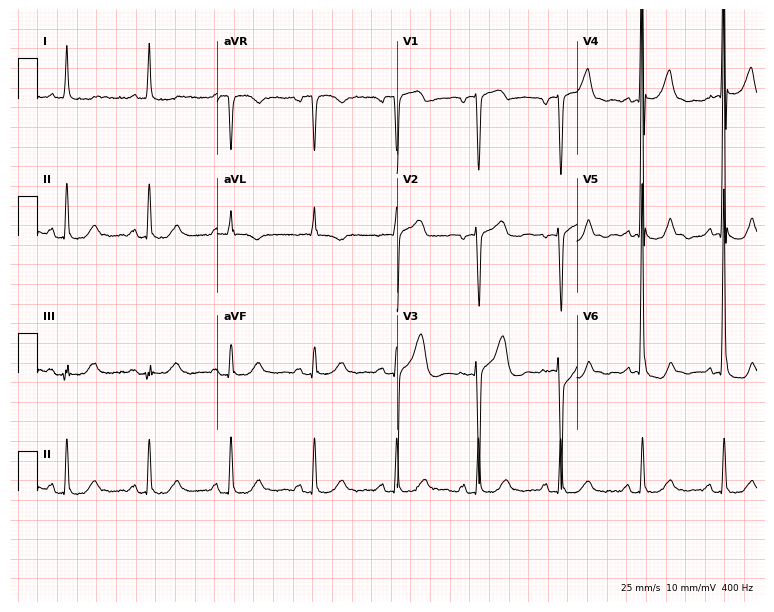
ECG — a male, 78 years old. Screened for six findings — first-degree AV block, right bundle branch block (RBBB), left bundle branch block (LBBB), sinus bradycardia, atrial fibrillation (AF), sinus tachycardia — none is recorded.